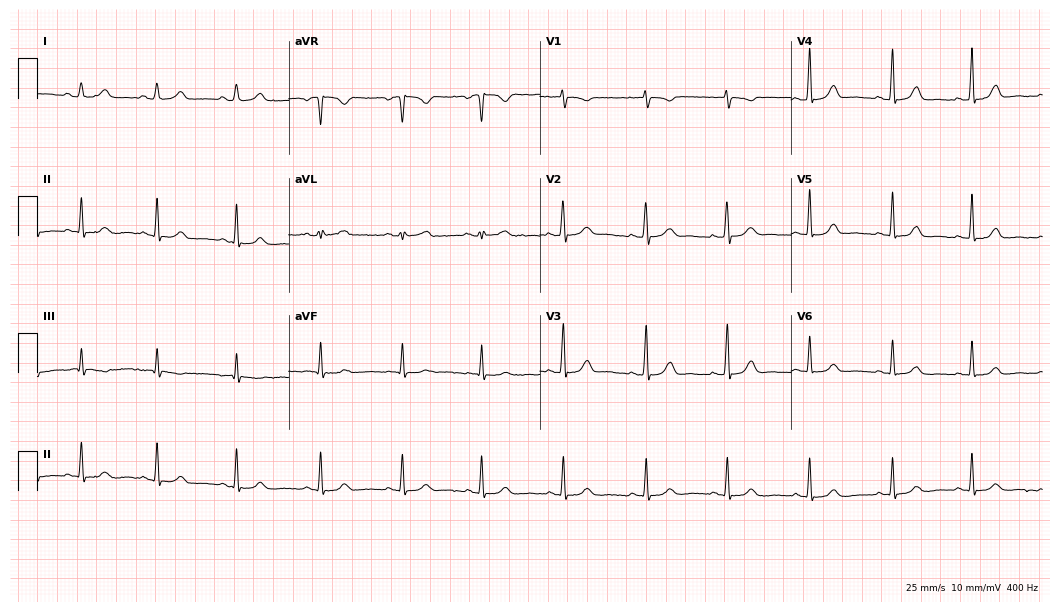
ECG — a 36-year-old female. Screened for six findings — first-degree AV block, right bundle branch block (RBBB), left bundle branch block (LBBB), sinus bradycardia, atrial fibrillation (AF), sinus tachycardia — none is recorded. Findings outside these six are not listed.